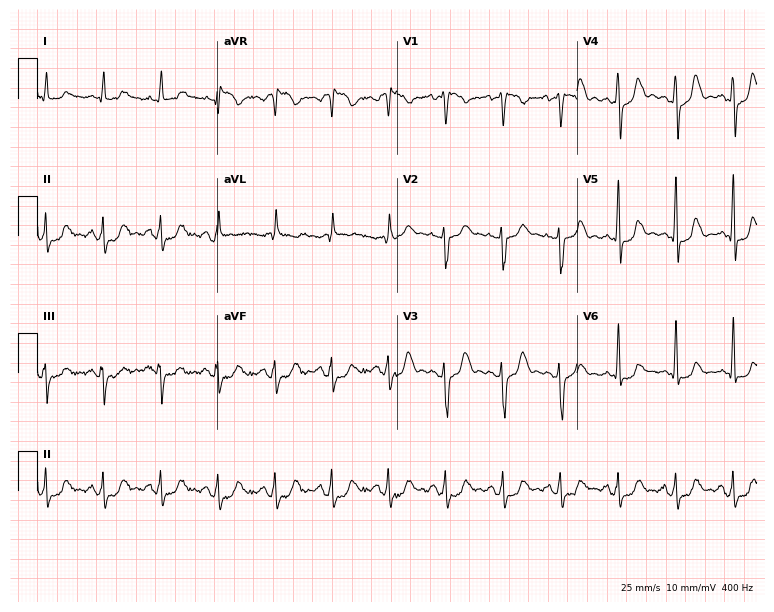
12-lead ECG from a female, 57 years old. Screened for six findings — first-degree AV block, right bundle branch block, left bundle branch block, sinus bradycardia, atrial fibrillation, sinus tachycardia — none is recorded. Other findings, if any, are not listed.